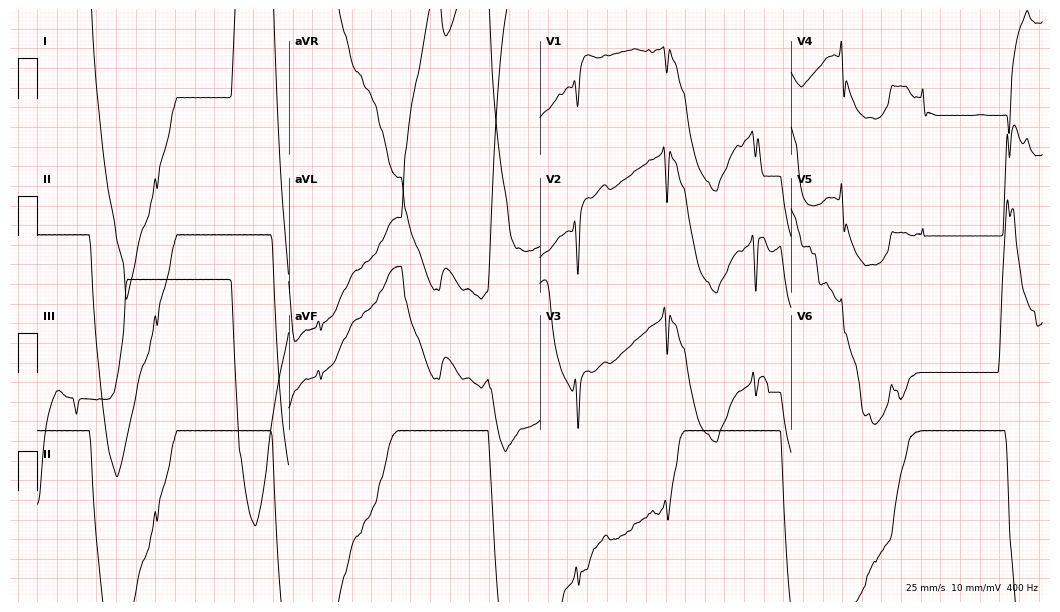
Standard 12-lead ECG recorded from a woman, 60 years old (10.2-second recording at 400 Hz). None of these six findings is recorded: first-degree AV block, right bundle branch block (RBBB), left bundle branch block (LBBB), sinus bradycardia, atrial fibrillation (AF), sinus tachycardia. Only these six findings were labelled.